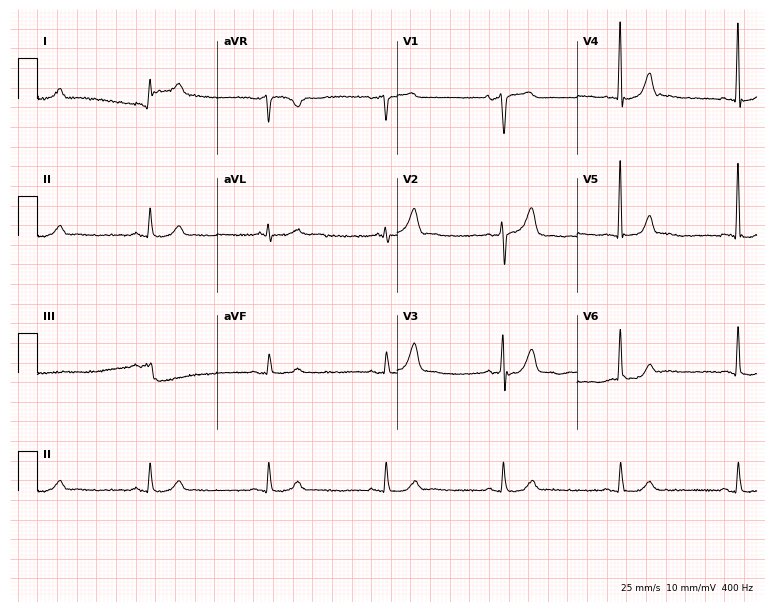
12-lead ECG from a 73-year-old male patient. Findings include sinus bradycardia (a sinus rate of 50 beats per minute or less).